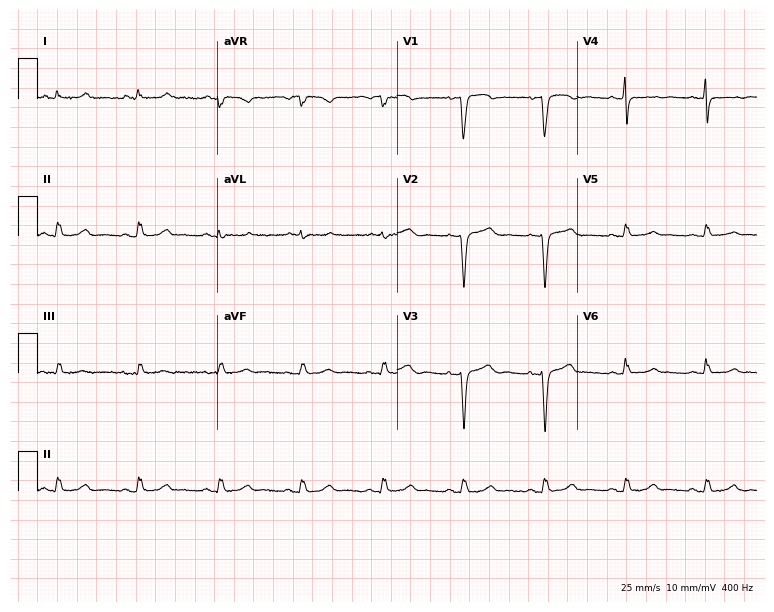
Electrocardiogram, a male, 59 years old. Of the six screened findings (first-degree AV block, right bundle branch block, left bundle branch block, sinus bradycardia, atrial fibrillation, sinus tachycardia), none is recorded.